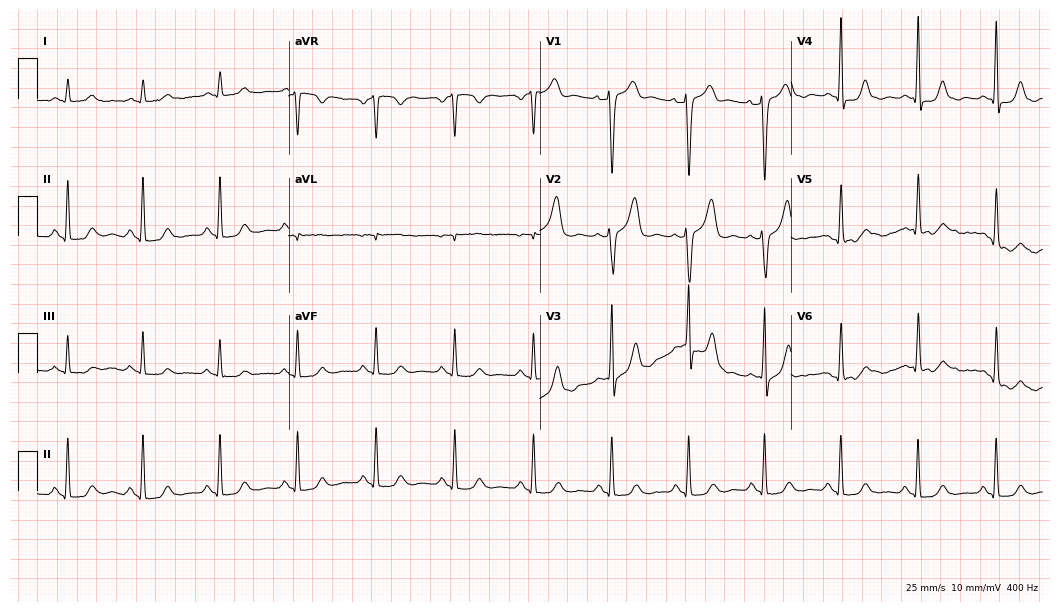
12-lead ECG from a 41-year-old male. No first-degree AV block, right bundle branch block (RBBB), left bundle branch block (LBBB), sinus bradycardia, atrial fibrillation (AF) or sinus tachycardia recorded for this tracing. Only these six findings were labelled.